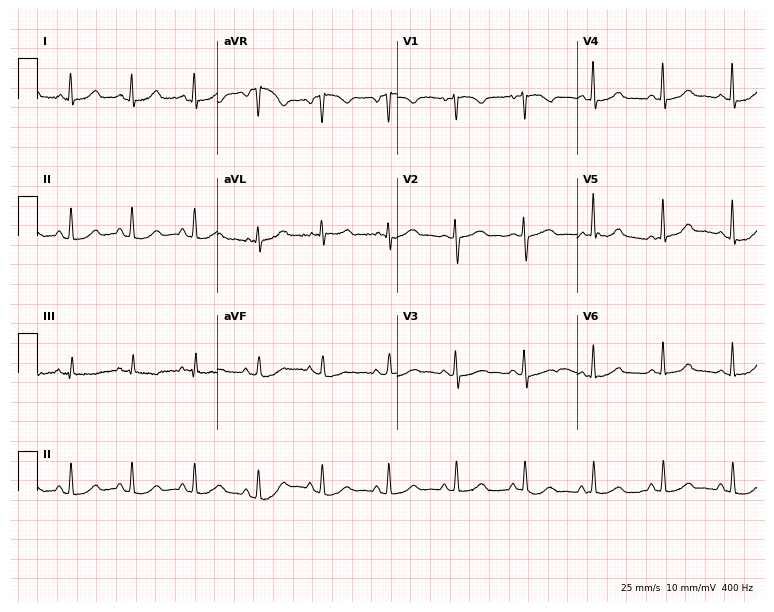
Electrocardiogram, a 51-year-old female. Of the six screened findings (first-degree AV block, right bundle branch block (RBBB), left bundle branch block (LBBB), sinus bradycardia, atrial fibrillation (AF), sinus tachycardia), none is recorded. Other findings, if any, are not listed.